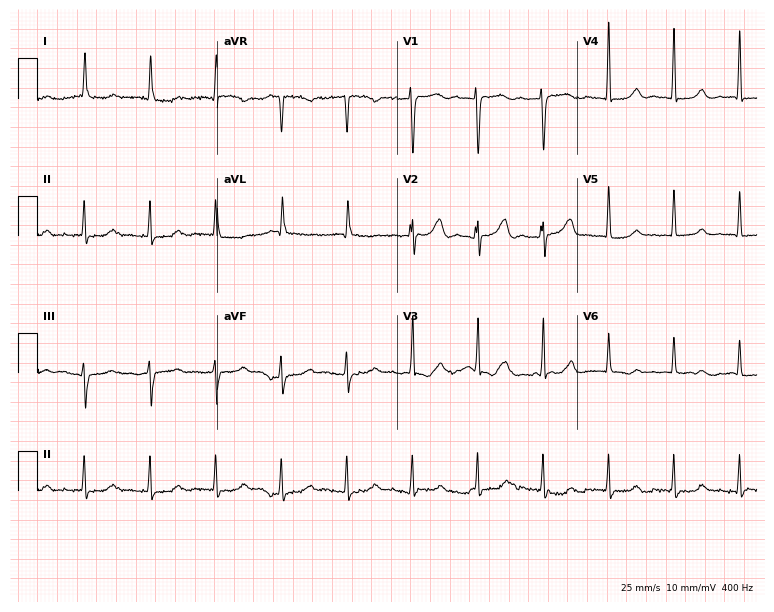
Resting 12-lead electrocardiogram (7.3-second recording at 400 Hz). Patient: a woman, 83 years old. None of these six findings is recorded: first-degree AV block, right bundle branch block, left bundle branch block, sinus bradycardia, atrial fibrillation, sinus tachycardia. Only these six findings were labelled.